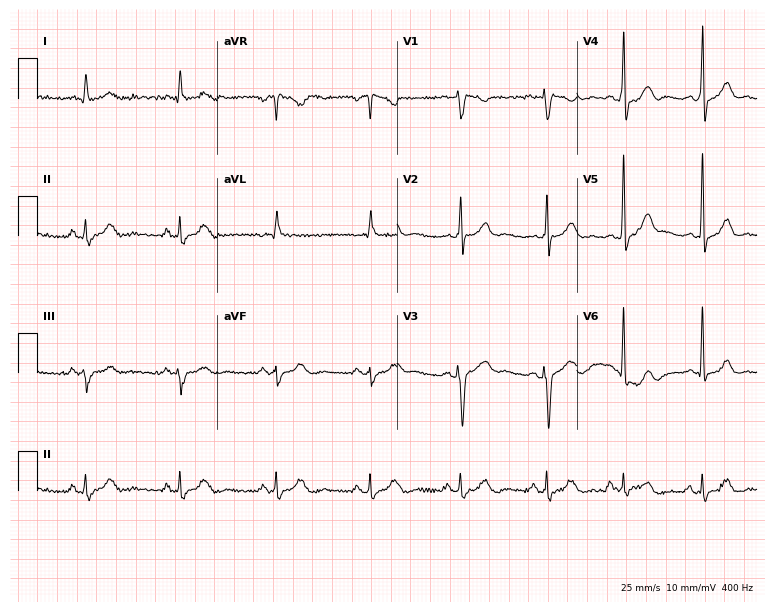
Electrocardiogram, a male, 52 years old. Of the six screened findings (first-degree AV block, right bundle branch block, left bundle branch block, sinus bradycardia, atrial fibrillation, sinus tachycardia), none is recorded.